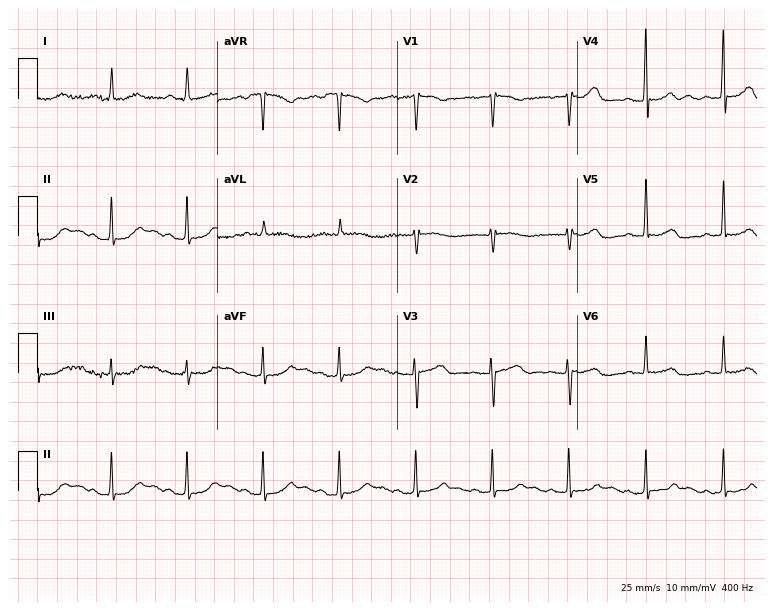
Resting 12-lead electrocardiogram. Patient: a 64-year-old woman. None of these six findings is recorded: first-degree AV block, right bundle branch block (RBBB), left bundle branch block (LBBB), sinus bradycardia, atrial fibrillation (AF), sinus tachycardia.